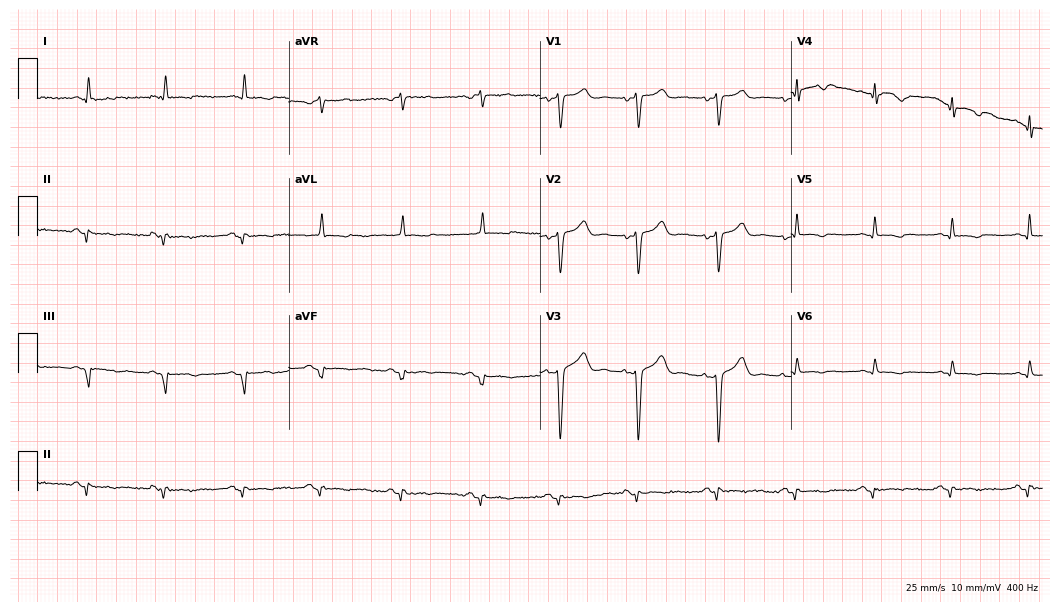
12-lead ECG from a 51-year-old male patient. Screened for six findings — first-degree AV block, right bundle branch block, left bundle branch block, sinus bradycardia, atrial fibrillation, sinus tachycardia — none is recorded.